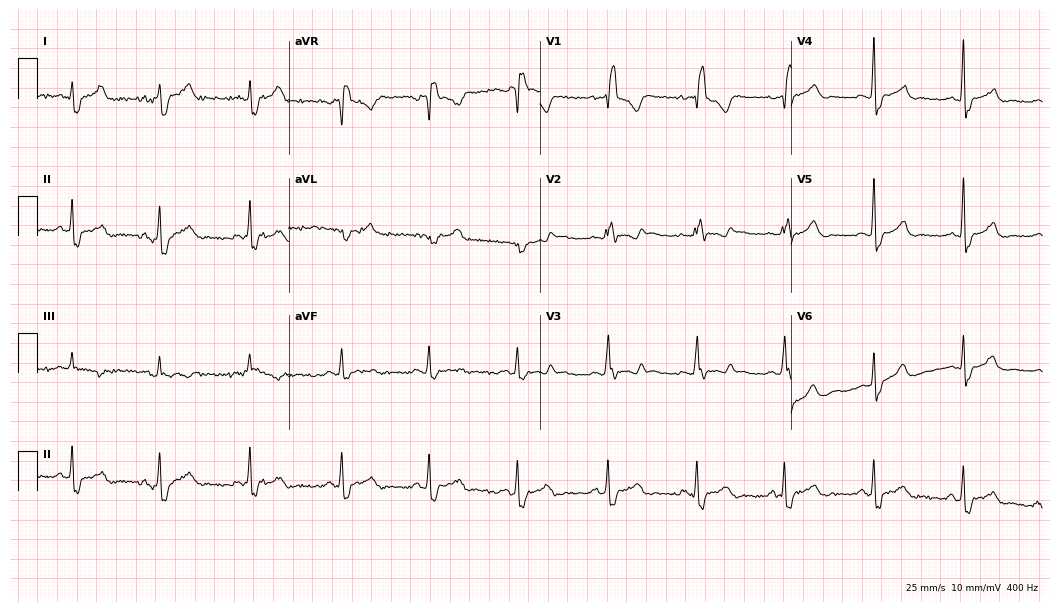
Standard 12-lead ECG recorded from a 32-year-old woman (10.2-second recording at 400 Hz). The tracing shows right bundle branch block (RBBB).